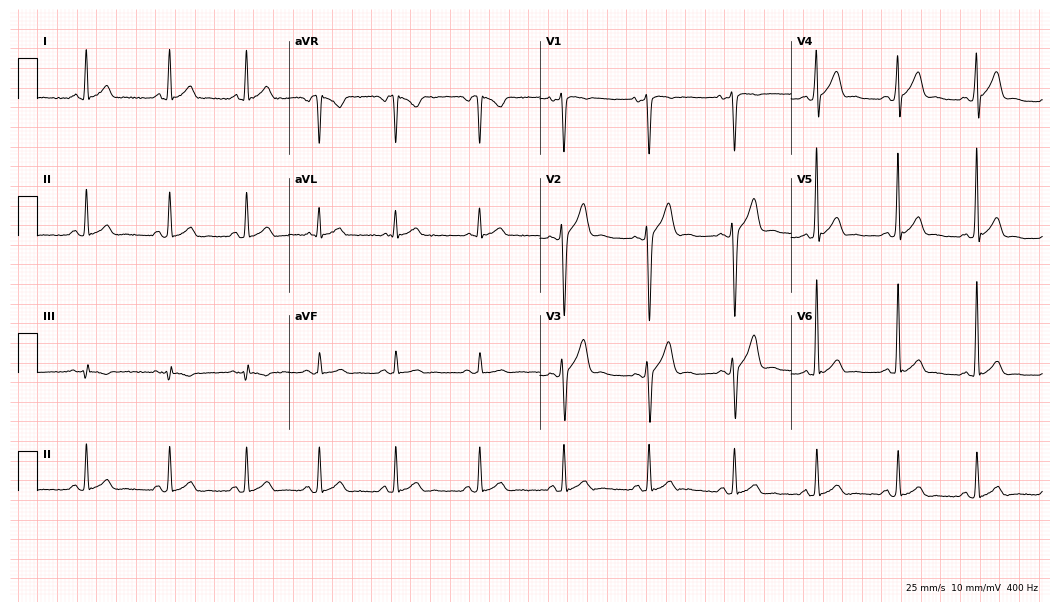
ECG — a male, 24 years old. Labelled as a normal ECG.